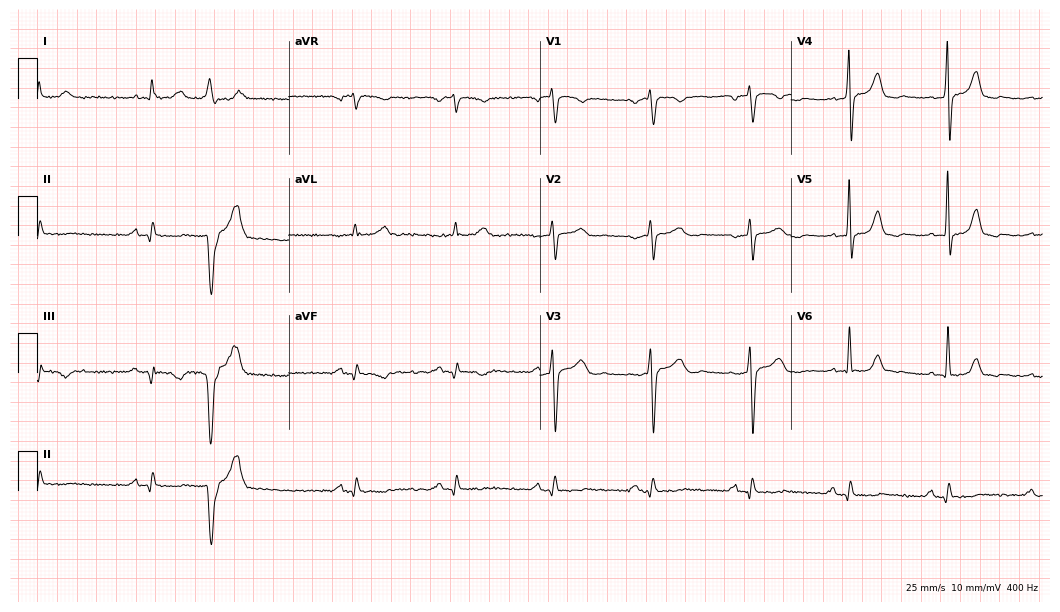
Resting 12-lead electrocardiogram. Patient: a 75-year-old male. None of these six findings is recorded: first-degree AV block, right bundle branch block, left bundle branch block, sinus bradycardia, atrial fibrillation, sinus tachycardia. Only these six findings were labelled.